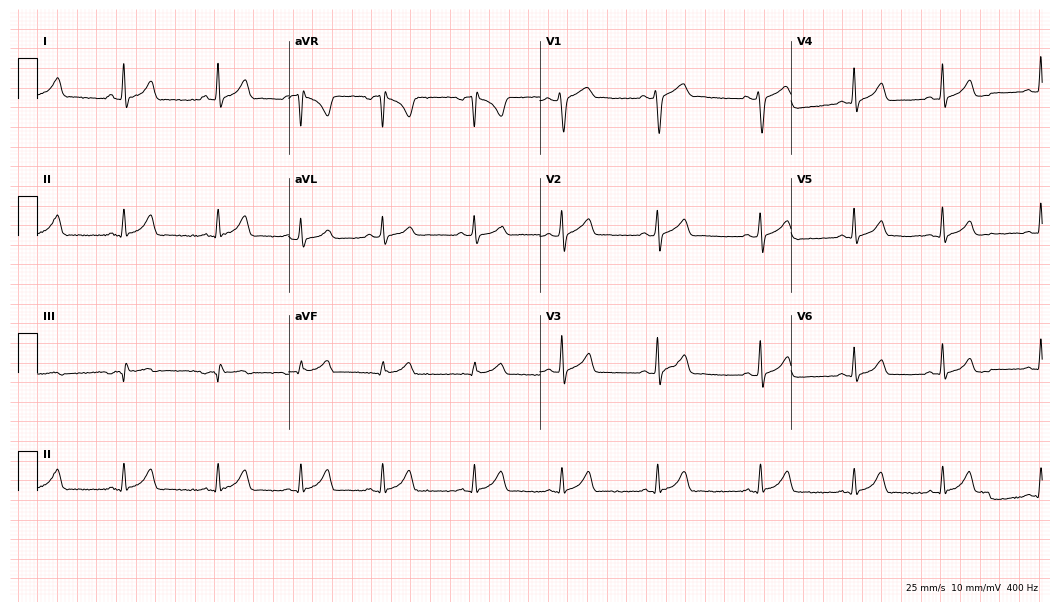
12-lead ECG from a 24-year-old male. Screened for six findings — first-degree AV block, right bundle branch block (RBBB), left bundle branch block (LBBB), sinus bradycardia, atrial fibrillation (AF), sinus tachycardia — none is recorded. Findings outside these six are not listed.